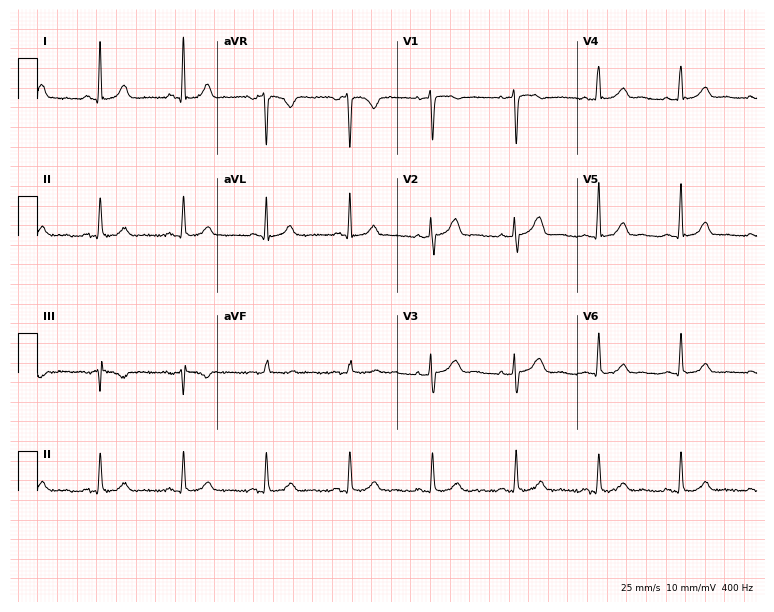
Electrocardiogram (7.3-second recording at 400 Hz), a 41-year-old woman. Overall reading on record: normal ECG.